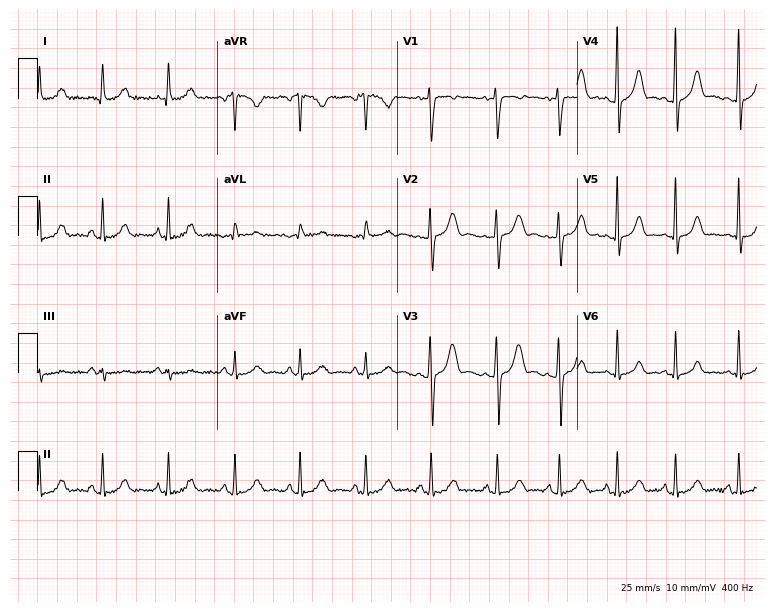
Standard 12-lead ECG recorded from a 17-year-old female patient (7.3-second recording at 400 Hz). Read as a normal ECG.